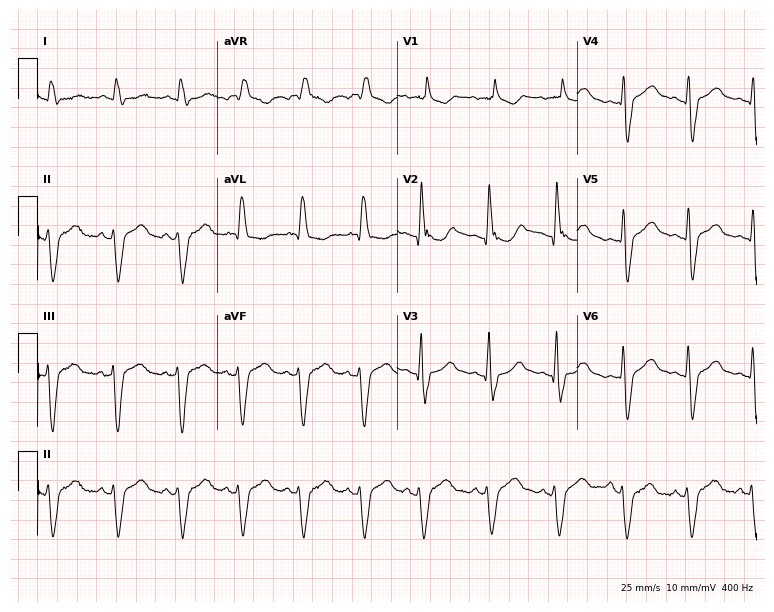
12-lead ECG from an 84-year-old male. Shows right bundle branch block, left bundle branch block.